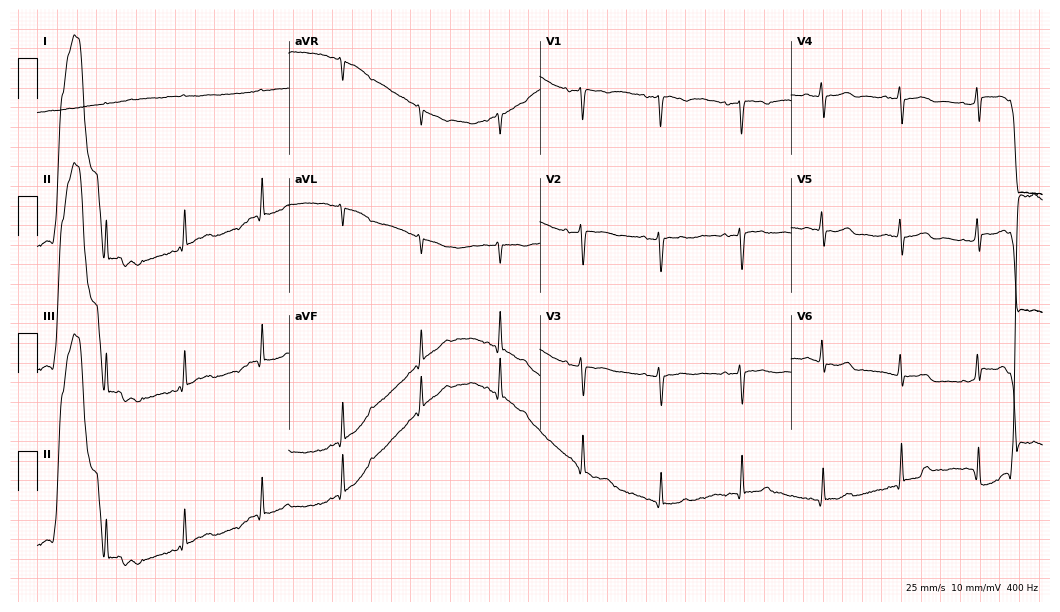
Electrocardiogram, a 29-year-old female patient. Of the six screened findings (first-degree AV block, right bundle branch block, left bundle branch block, sinus bradycardia, atrial fibrillation, sinus tachycardia), none is recorded.